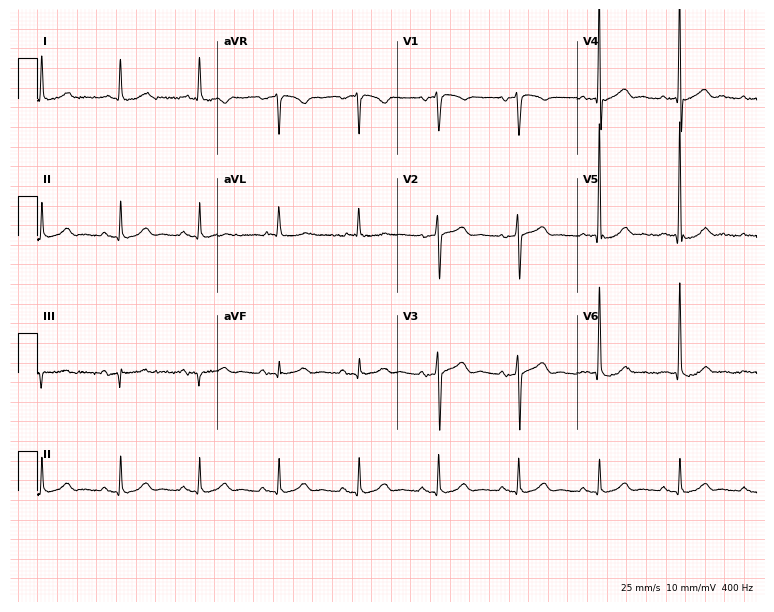
12-lead ECG (7.3-second recording at 400 Hz) from a male, 77 years old. Screened for six findings — first-degree AV block, right bundle branch block, left bundle branch block, sinus bradycardia, atrial fibrillation, sinus tachycardia — none is recorded.